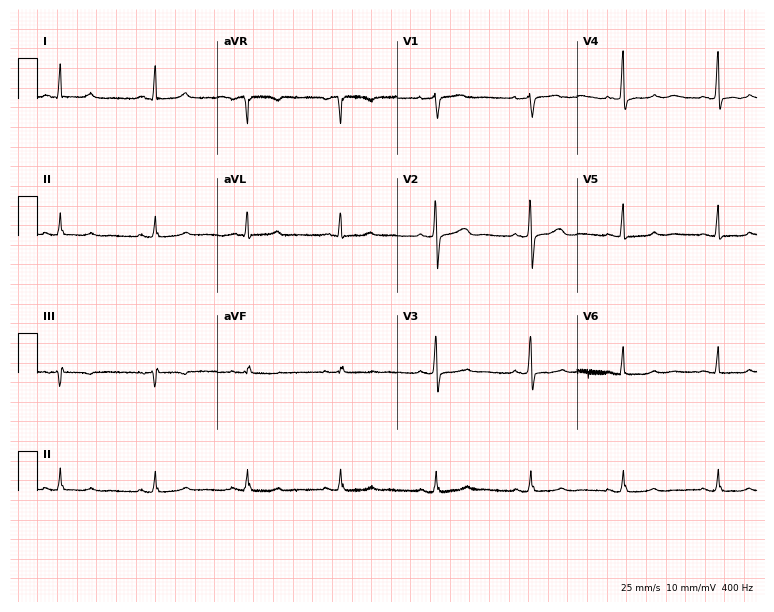
Standard 12-lead ECG recorded from a woman, 67 years old. None of these six findings is recorded: first-degree AV block, right bundle branch block (RBBB), left bundle branch block (LBBB), sinus bradycardia, atrial fibrillation (AF), sinus tachycardia. Findings outside these six are not listed.